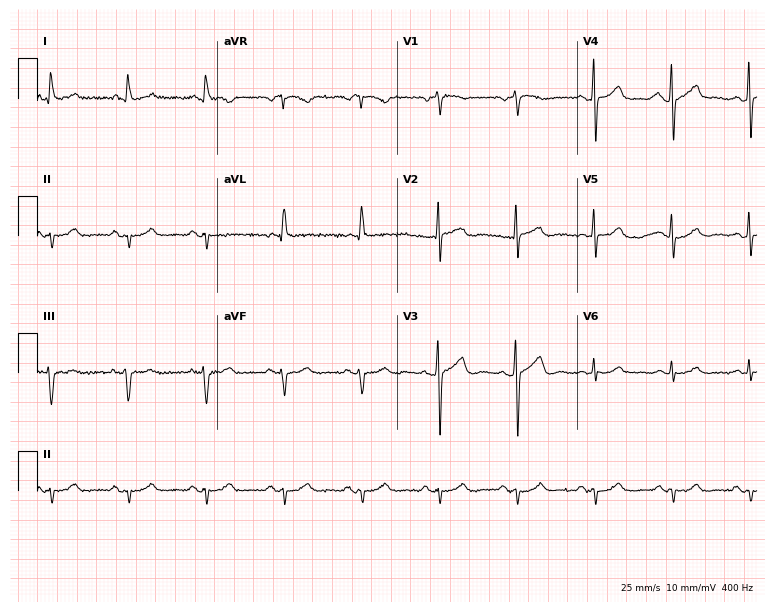
Electrocardiogram, a 61-year-old male patient. Of the six screened findings (first-degree AV block, right bundle branch block, left bundle branch block, sinus bradycardia, atrial fibrillation, sinus tachycardia), none is recorded. Other findings, if any, are not listed.